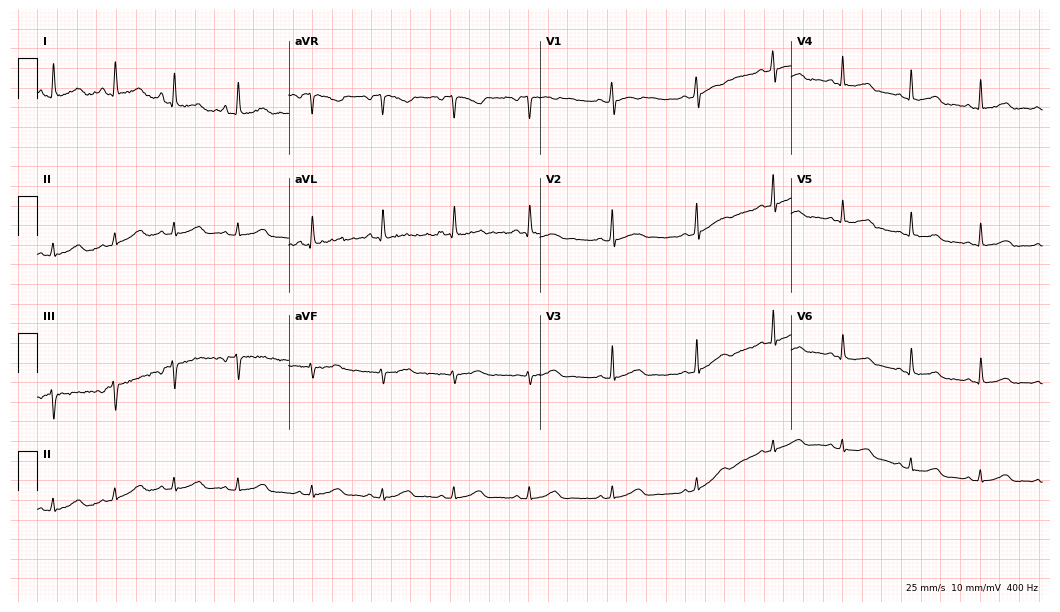
ECG (10.2-second recording at 400 Hz) — a female patient, 18 years old. Labelled as a normal ECG.